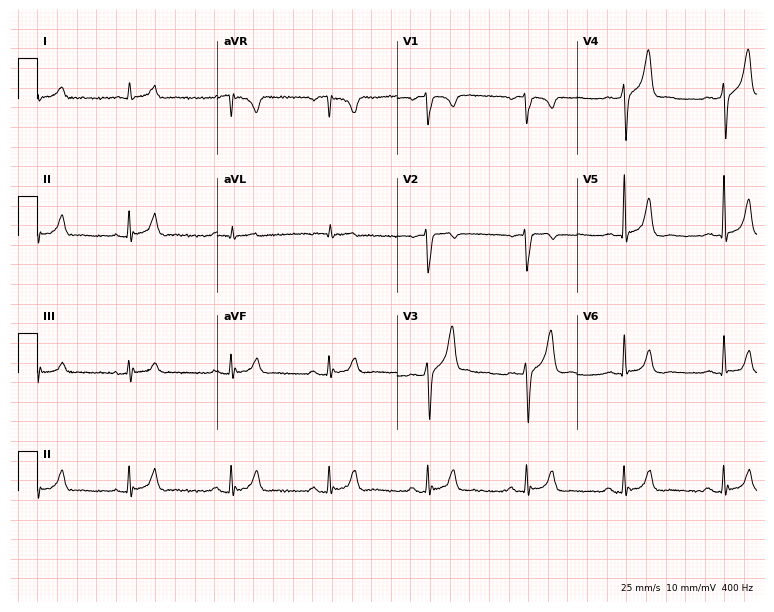
12-lead ECG from a male patient, 63 years old. Recorded interpretation: within normal limits.